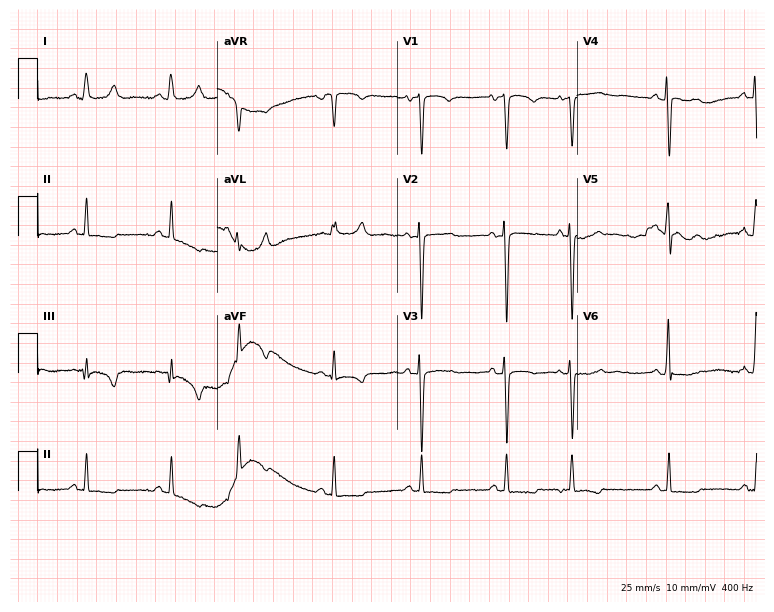
12-lead ECG from a female patient, 65 years old (7.3-second recording at 400 Hz). No first-degree AV block, right bundle branch block, left bundle branch block, sinus bradycardia, atrial fibrillation or sinus tachycardia recorded for this tracing.